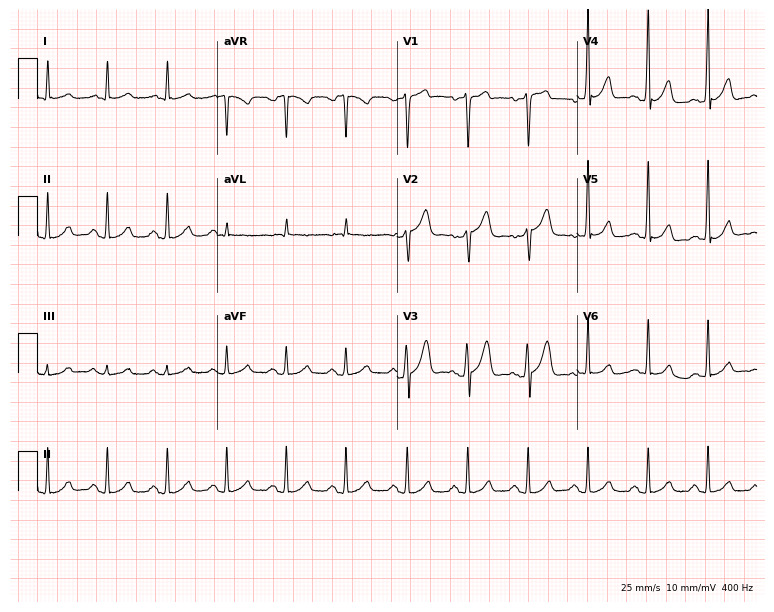
Resting 12-lead electrocardiogram. Patient: a 35-year-old male. Read as a normal ECG.